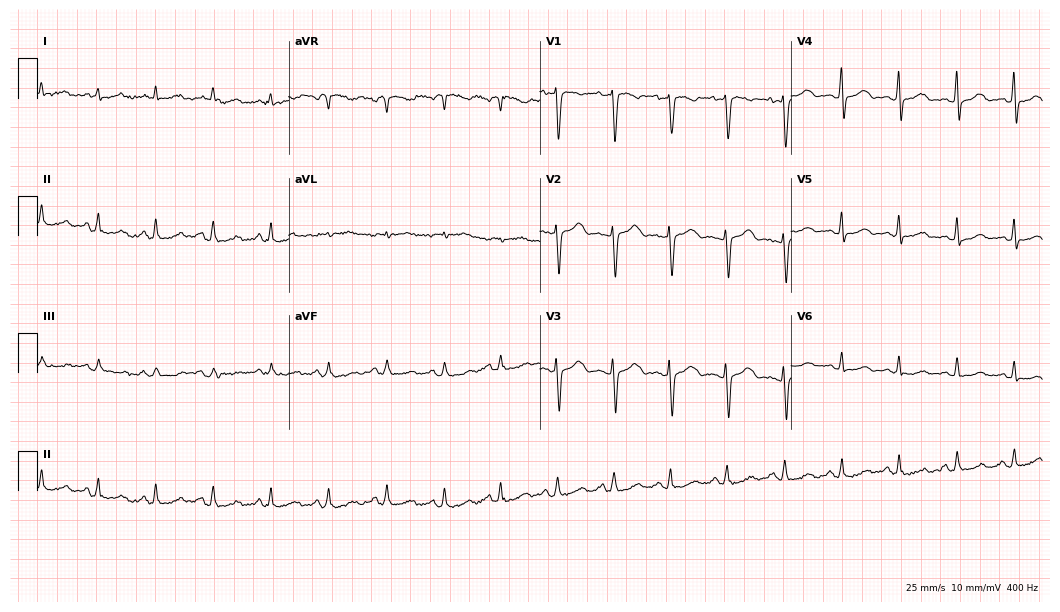
12-lead ECG from a female, 35 years old (10.2-second recording at 400 Hz). No first-degree AV block, right bundle branch block, left bundle branch block, sinus bradycardia, atrial fibrillation or sinus tachycardia recorded for this tracing.